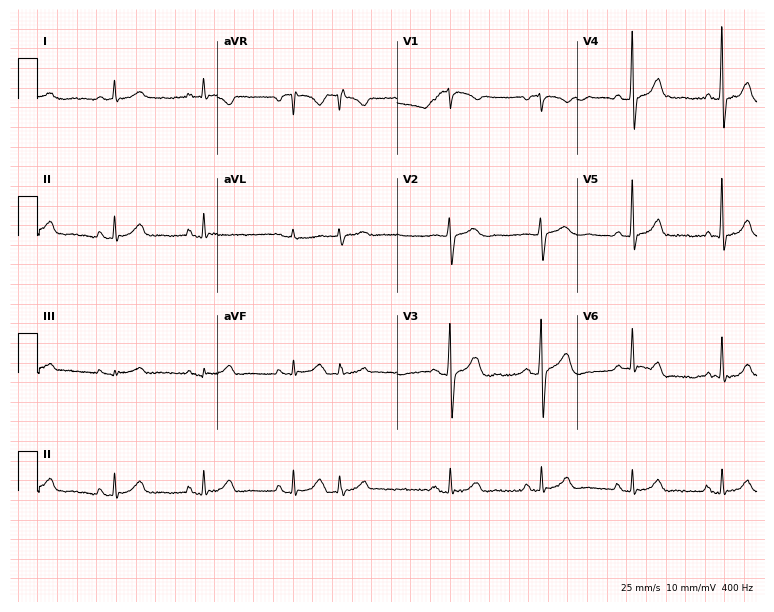
Electrocardiogram (7.3-second recording at 400 Hz), a male patient, 78 years old. Of the six screened findings (first-degree AV block, right bundle branch block, left bundle branch block, sinus bradycardia, atrial fibrillation, sinus tachycardia), none is recorded. Other findings, if any, are not listed.